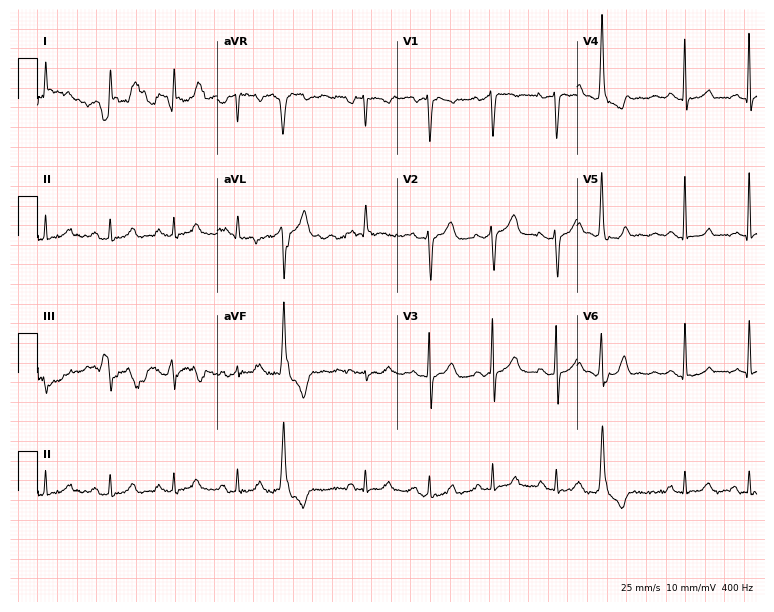
12-lead ECG from a female patient, 81 years old. Screened for six findings — first-degree AV block, right bundle branch block (RBBB), left bundle branch block (LBBB), sinus bradycardia, atrial fibrillation (AF), sinus tachycardia — none is recorded. Only these six findings were labelled.